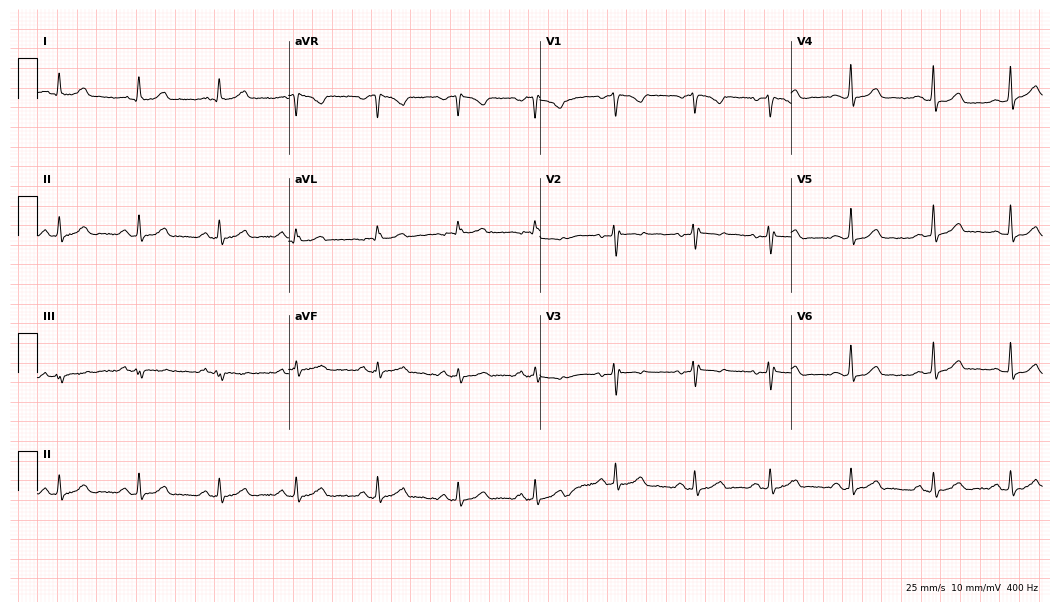
Standard 12-lead ECG recorded from a 31-year-old female. Read as a normal ECG.